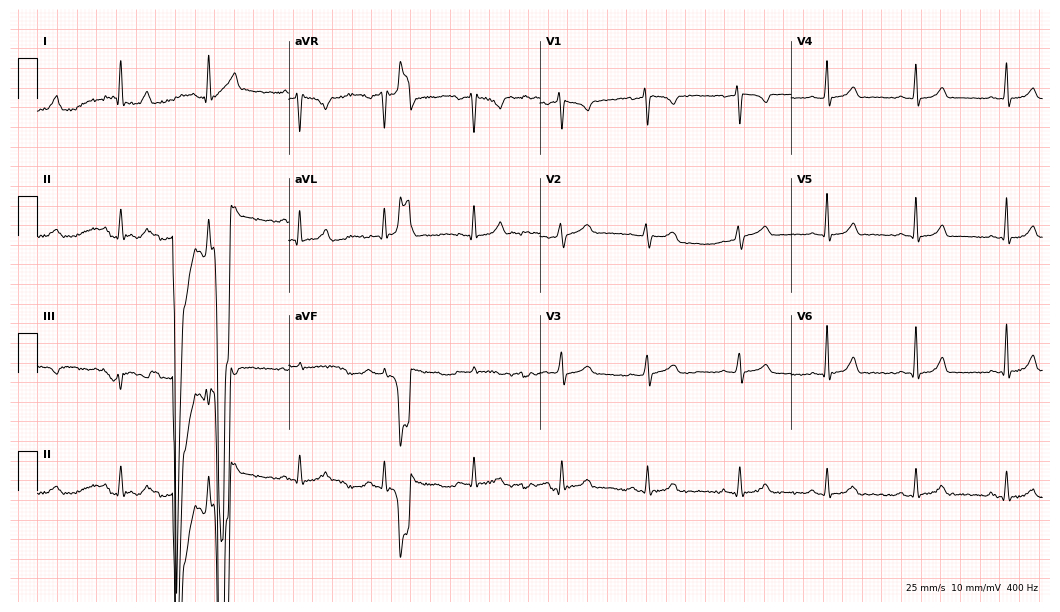
12-lead ECG from a 33-year-old female patient (10.2-second recording at 400 Hz). Recorded interpretation: within normal limits.